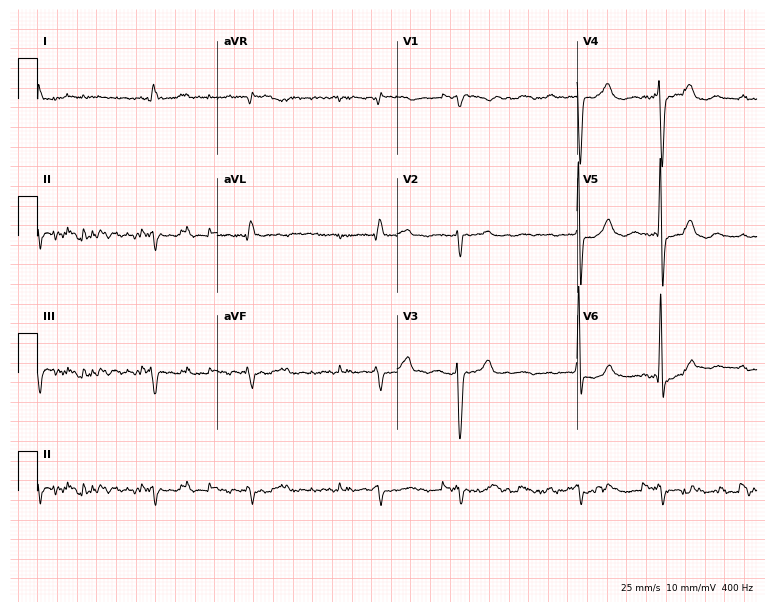
ECG (7.3-second recording at 400 Hz) — a man, 86 years old. Findings include atrial fibrillation (AF).